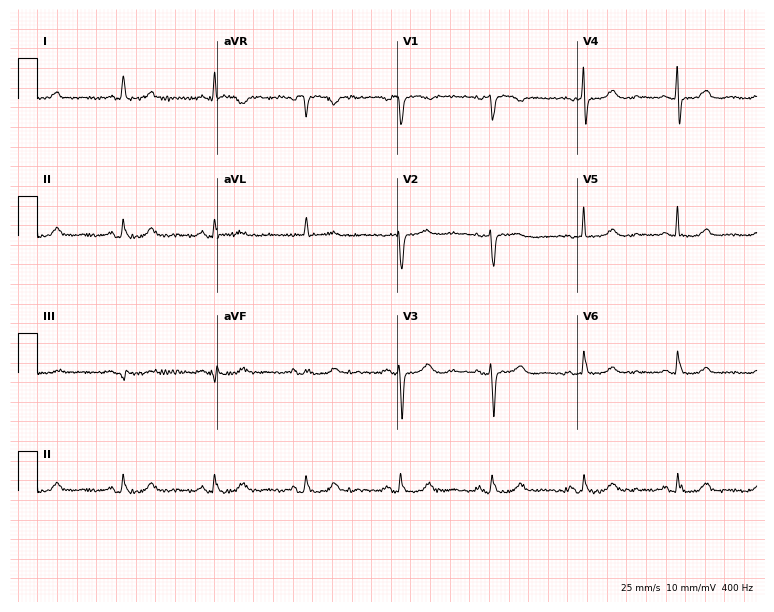
Electrocardiogram (7.3-second recording at 400 Hz), a 74-year-old woman. Overall reading on record: normal ECG.